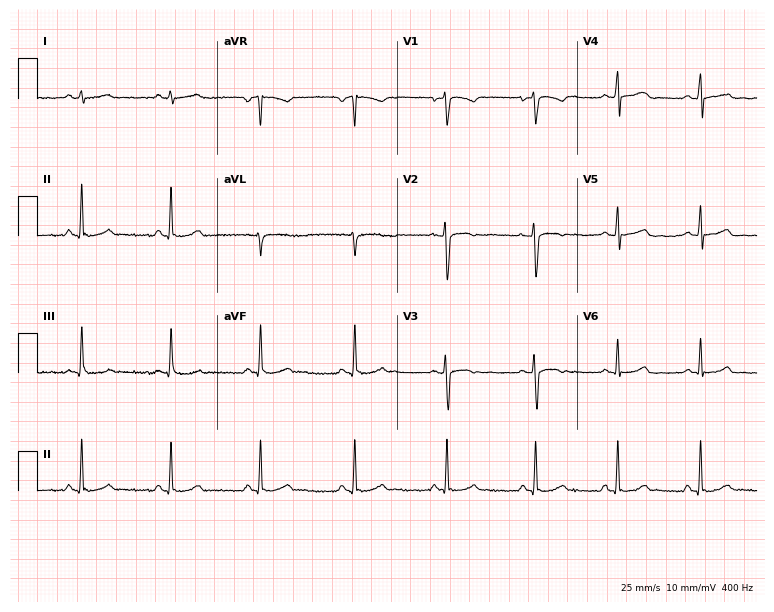
12-lead ECG from a 19-year-old woman. Recorded interpretation: within normal limits.